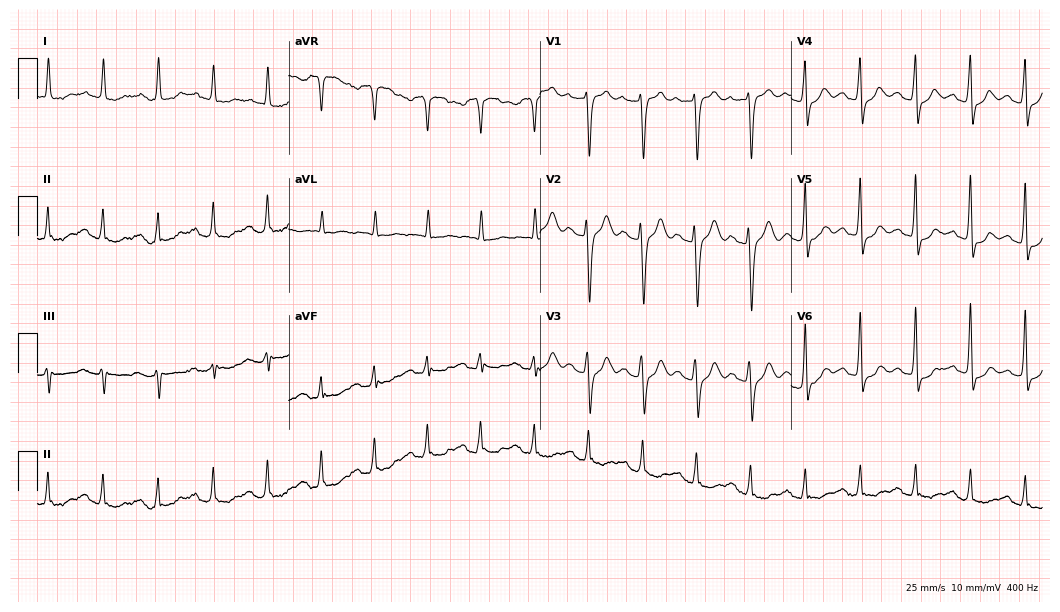
12-lead ECG from a man, 83 years old. Screened for six findings — first-degree AV block, right bundle branch block, left bundle branch block, sinus bradycardia, atrial fibrillation, sinus tachycardia — none is recorded.